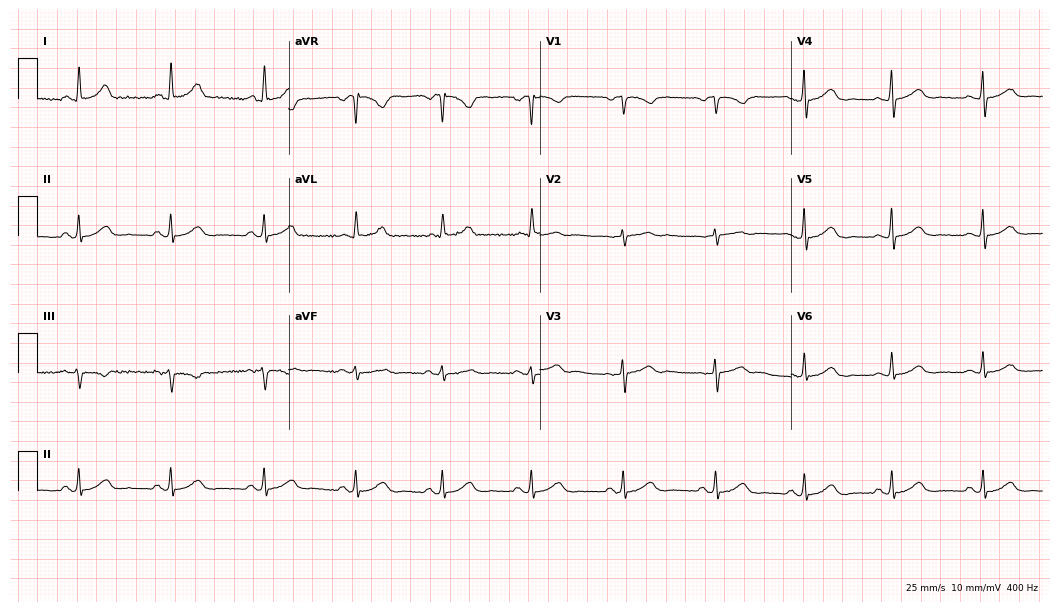
12-lead ECG from a 61-year-old woman (10.2-second recording at 400 Hz). Recorded interpretation: within normal limits.